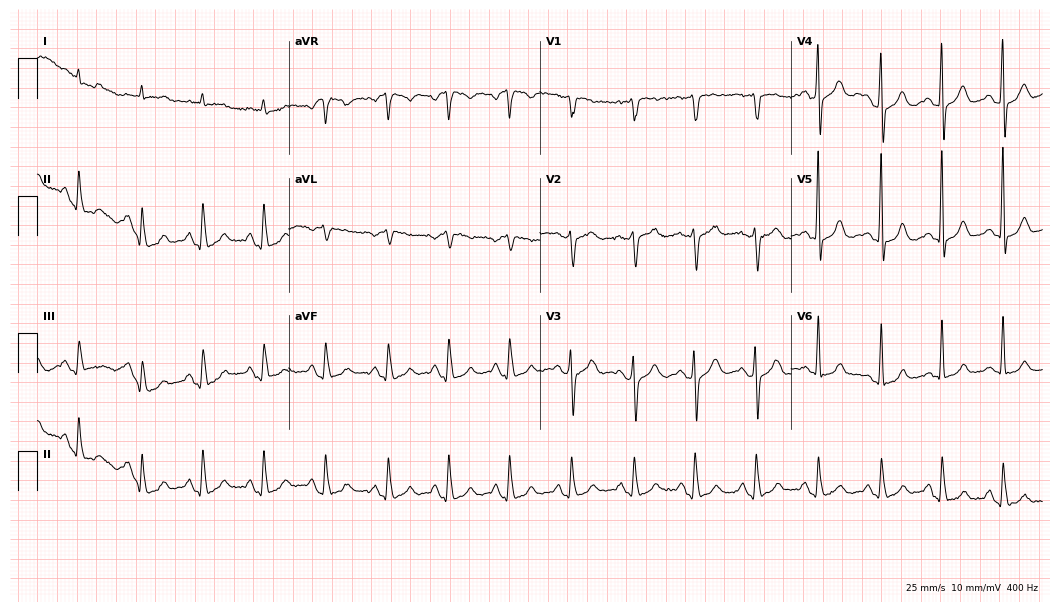
Standard 12-lead ECG recorded from a male, 85 years old (10.2-second recording at 400 Hz). None of these six findings is recorded: first-degree AV block, right bundle branch block, left bundle branch block, sinus bradycardia, atrial fibrillation, sinus tachycardia. Only these six findings were labelled.